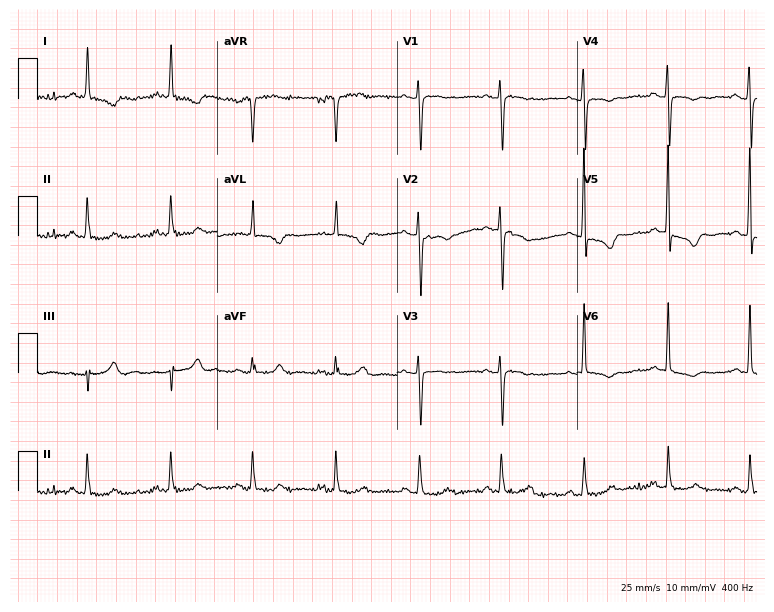
12-lead ECG from a female, 73 years old. Screened for six findings — first-degree AV block, right bundle branch block, left bundle branch block, sinus bradycardia, atrial fibrillation, sinus tachycardia — none is recorded.